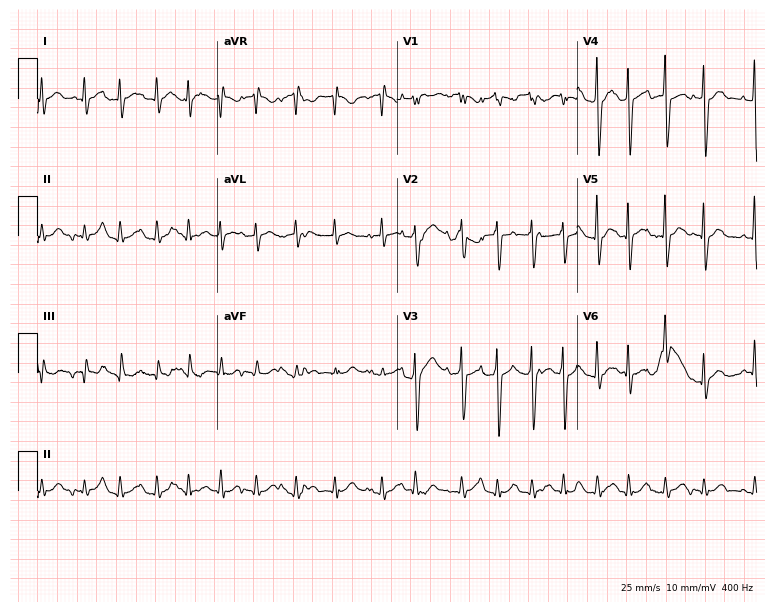
12-lead ECG from an 82-year-old male (7.3-second recording at 400 Hz). Shows atrial fibrillation (AF).